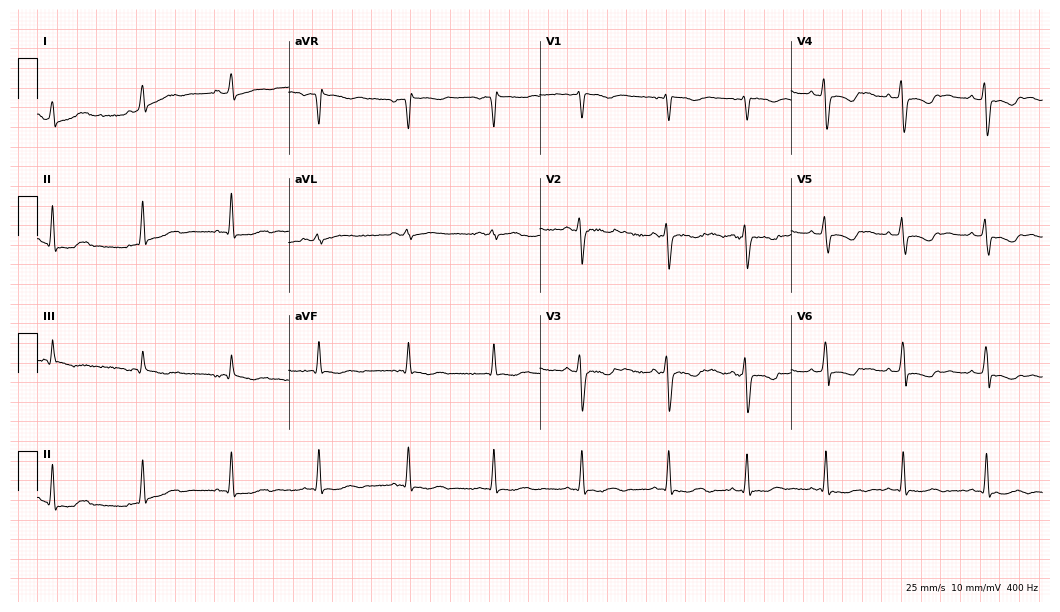
Standard 12-lead ECG recorded from a 33-year-old female patient (10.2-second recording at 400 Hz). None of these six findings is recorded: first-degree AV block, right bundle branch block, left bundle branch block, sinus bradycardia, atrial fibrillation, sinus tachycardia.